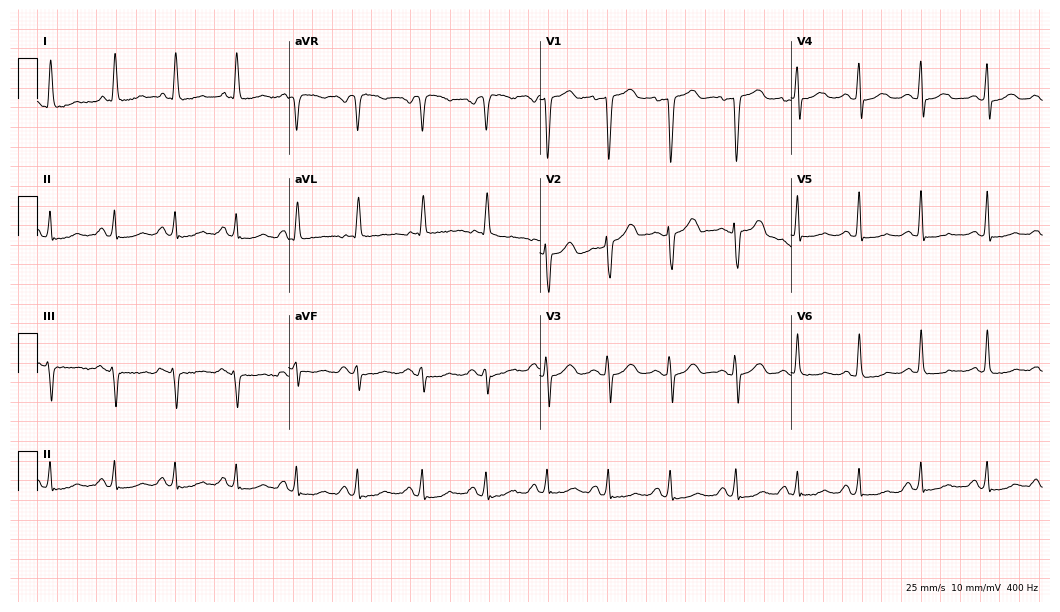
Electrocardiogram (10.2-second recording at 400 Hz), a 60-year-old female. Of the six screened findings (first-degree AV block, right bundle branch block, left bundle branch block, sinus bradycardia, atrial fibrillation, sinus tachycardia), none is recorded.